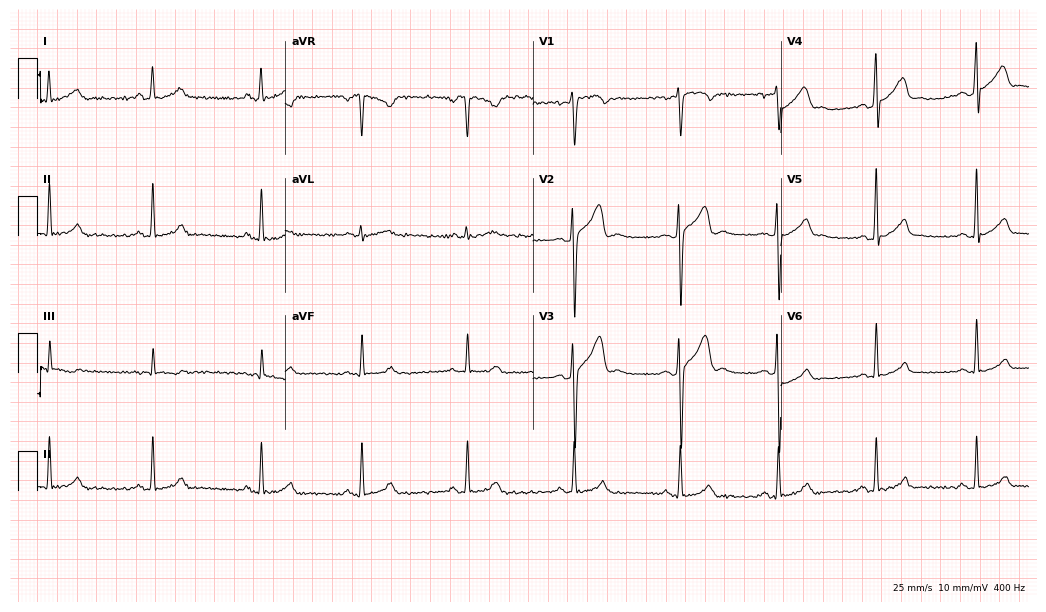
Standard 12-lead ECG recorded from a male patient, 27 years old (10.1-second recording at 400 Hz). None of these six findings is recorded: first-degree AV block, right bundle branch block, left bundle branch block, sinus bradycardia, atrial fibrillation, sinus tachycardia. Only these six findings were labelled.